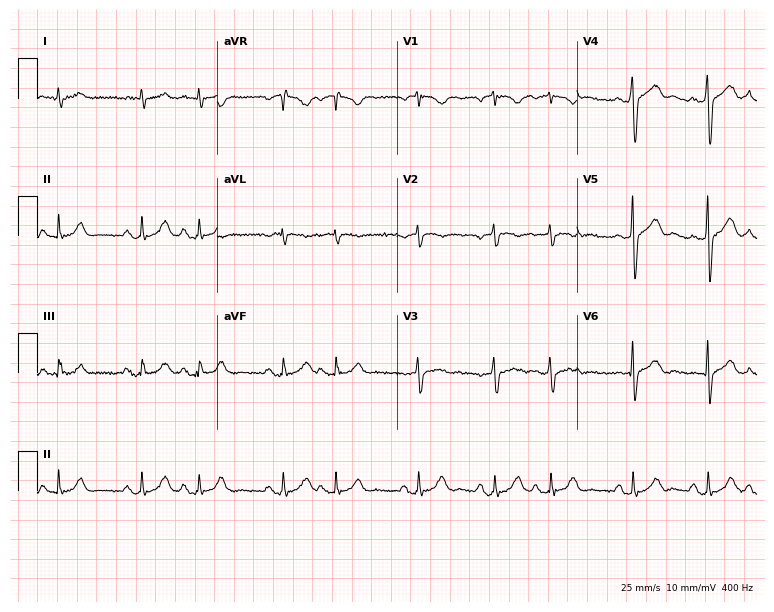
Standard 12-lead ECG recorded from a 66-year-old male (7.3-second recording at 400 Hz). None of these six findings is recorded: first-degree AV block, right bundle branch block (RBBB), left bundle branch block (LBBB), sinus bradycardia, atrial fibrillation (AF), sinus tachycardia.